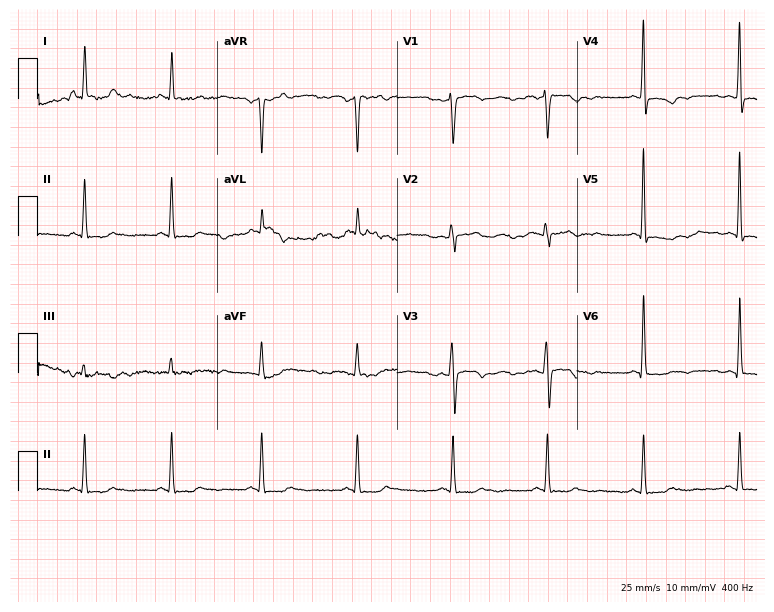
12-lead ECG from a female patient, 57 years old. No first-degree AV block, right bundle branch block (RBBB), left bundle branch block (LBBB), sinus bradycardia, atrial fibrillation (AF) or sinus tachycardia recorded for this tracing. Only these six findings were labelled.